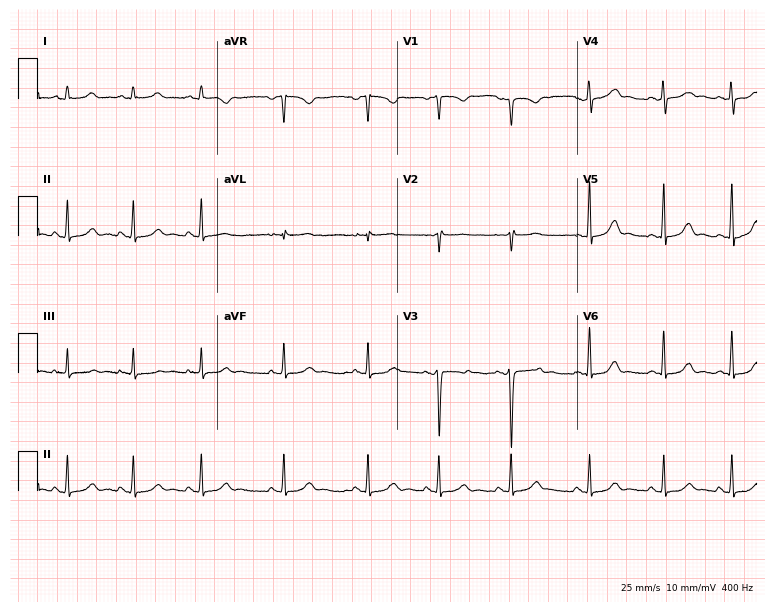
Resting 12-lead electrocardiogram (7.3-second recording at 400 Hz). Patient: a 26-year-old woman. Read as a normal ECG.